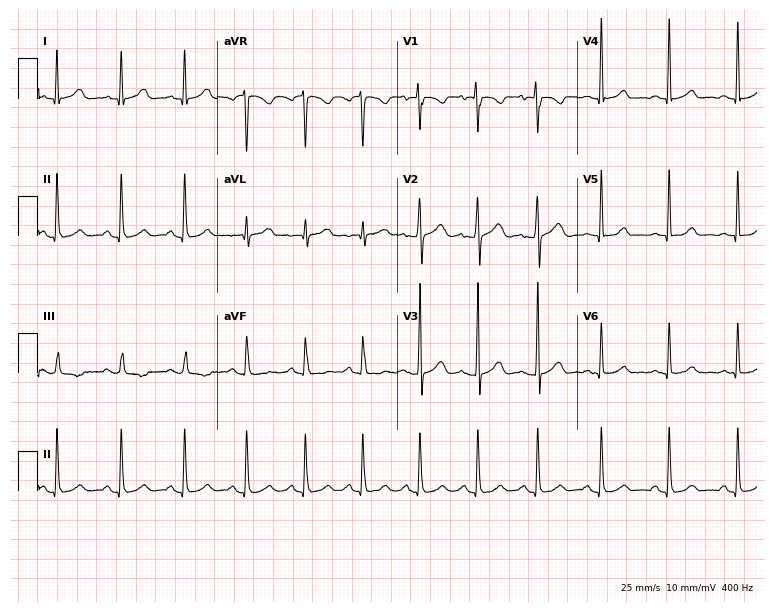
Electrocardiogram (7.3-second recording at 400 Hz), a female patient, 22 years old. Overall reading on record: normal ECG.